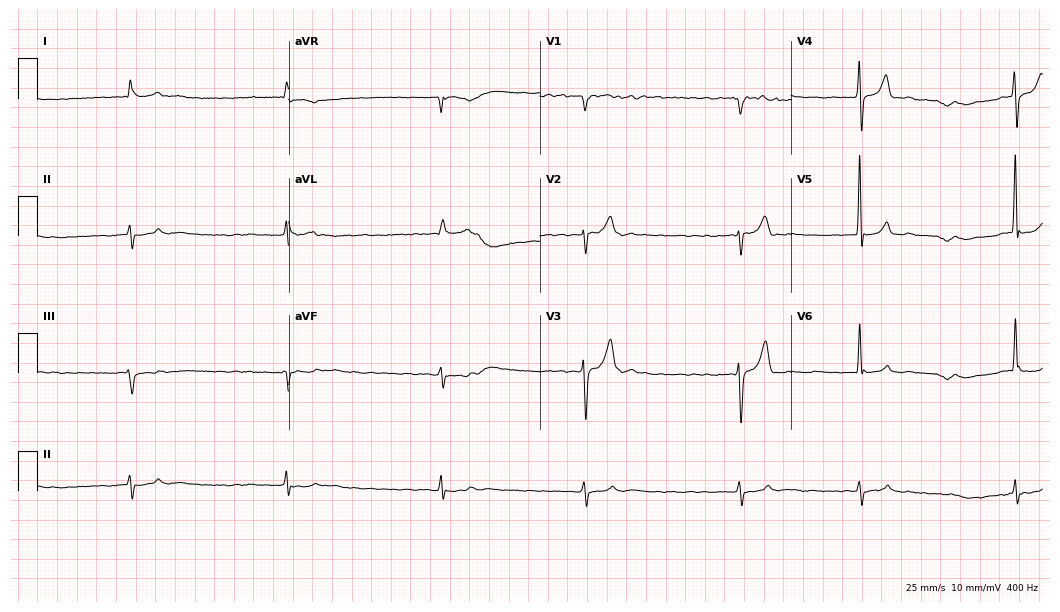
12-lead ECG from a man, 77 years old. Findings include atrial fibrillation (AF).